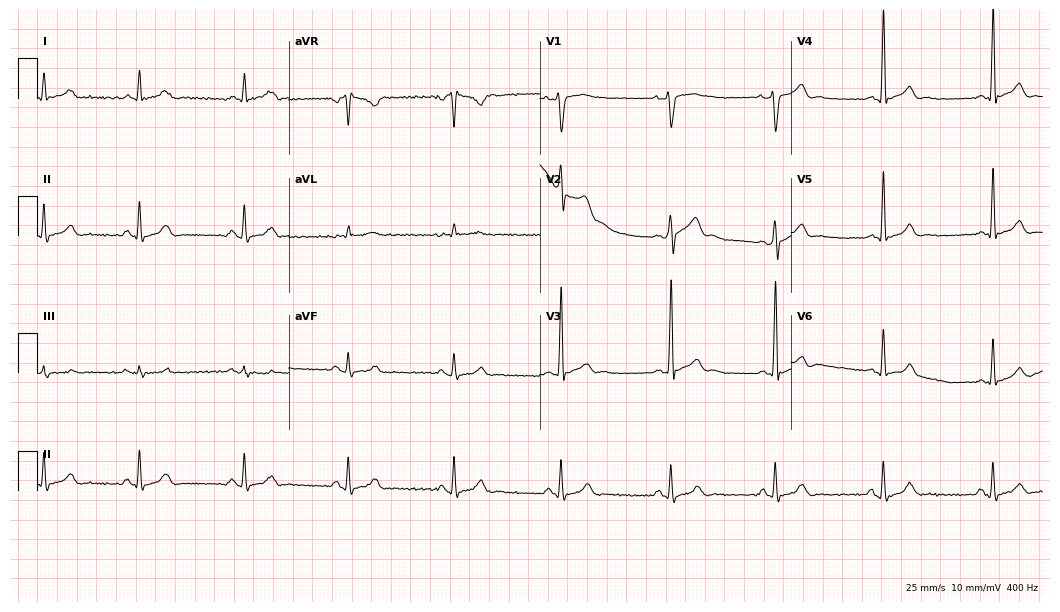
ECG (10.2-second recording at 400 Hz) — a man, 38 years old. Labelled as a normal ECG.